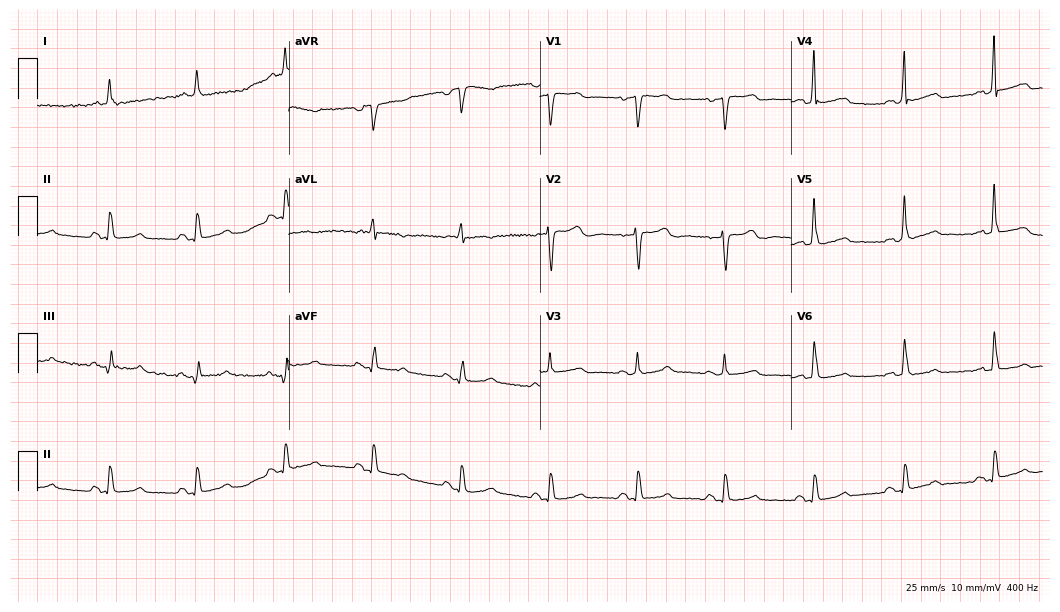
ECG (10.2-second recording at 400 Hz) — a male patient, 53 years old. Screened for six findings — first-degree AV block, right bundle branch block, left bundle branch block, sinus bradycardia, atrial fibrillation, sinus tachycardia — none is recorded.